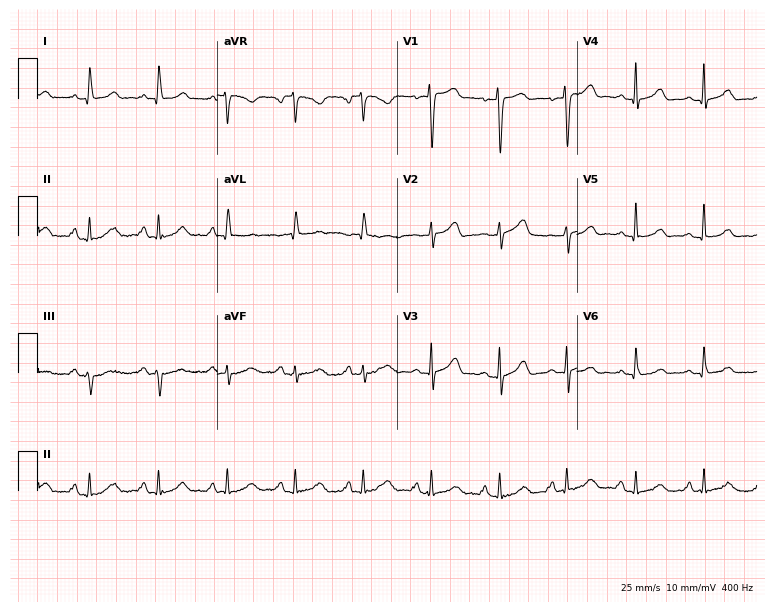
Standard 12-lead ECG recorded from a woman, 71 years old (7.3-second recording at 400 Hz). Read as a normal ECG.